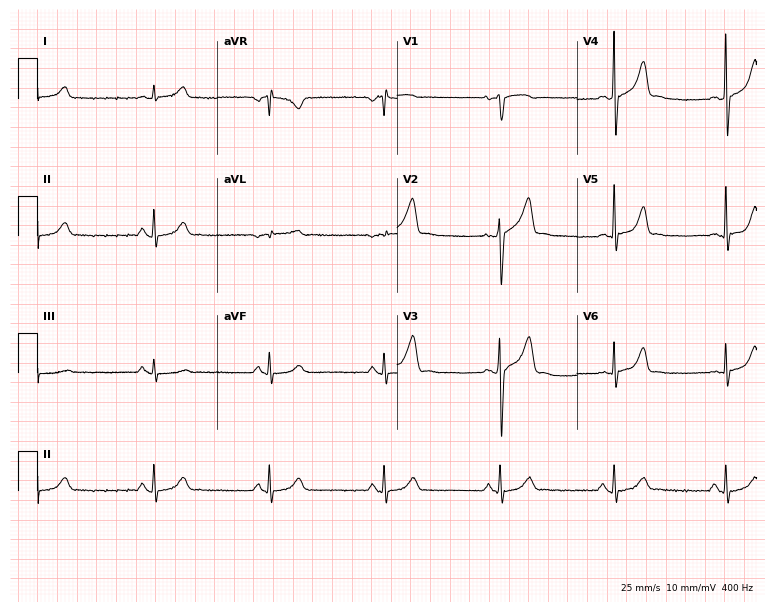
Resting 12-lead electrocardiogram. Patient: a 63-year-old male. Read as a normal ECG.